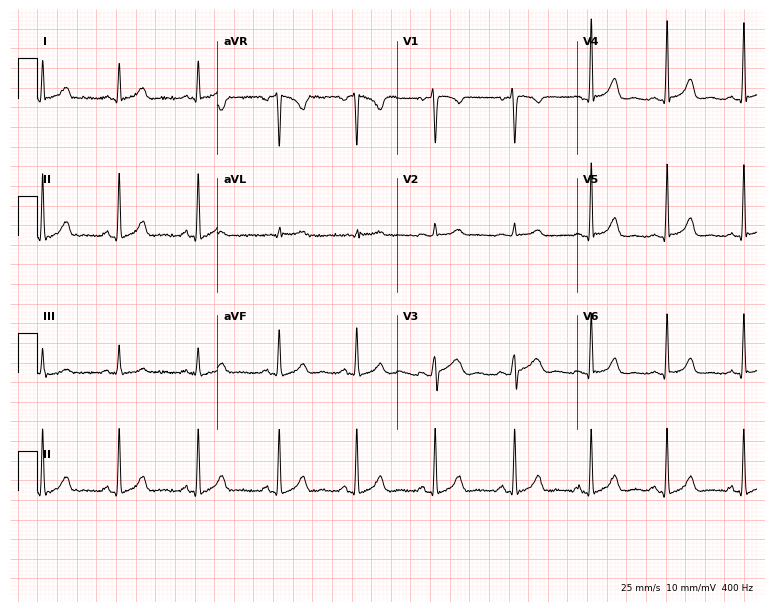
Electrocardiogram (7.3-second recording at 400 Hz), a 41-year-old female patient. Overall reading on record: normal ECG.